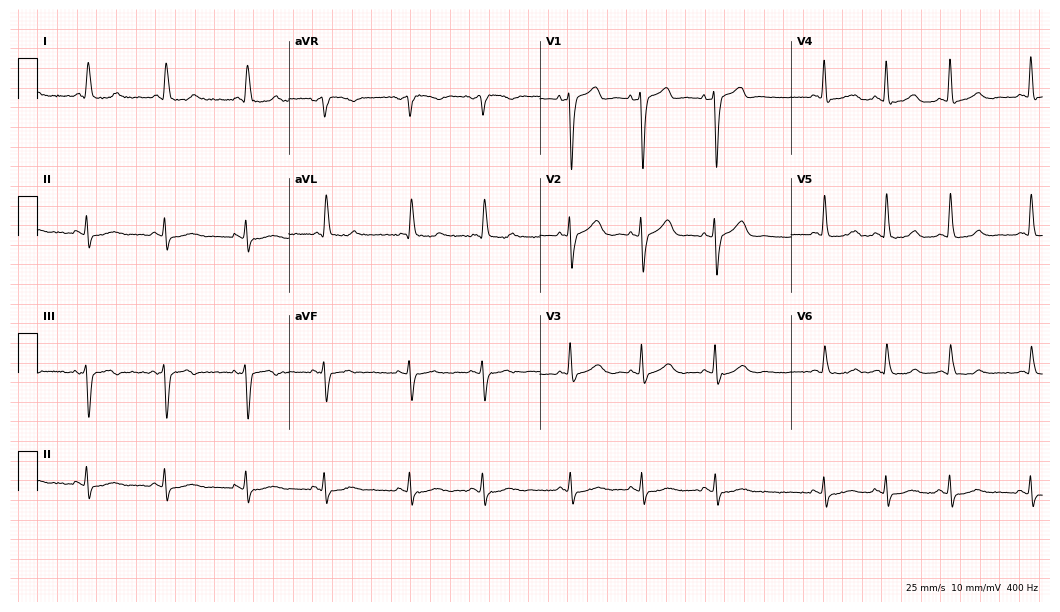
Resting 12-lead electrocardiogram (10.2-second recording at 400 Hz). Patient: a male, 83 years old. None of these six findings is recorded: first-degree AV block, right bundle branch block (RBBB), left bundle branch block (LBBB), sinus bradycardia, atrial fibrillation (AF), sinus tachycardia.